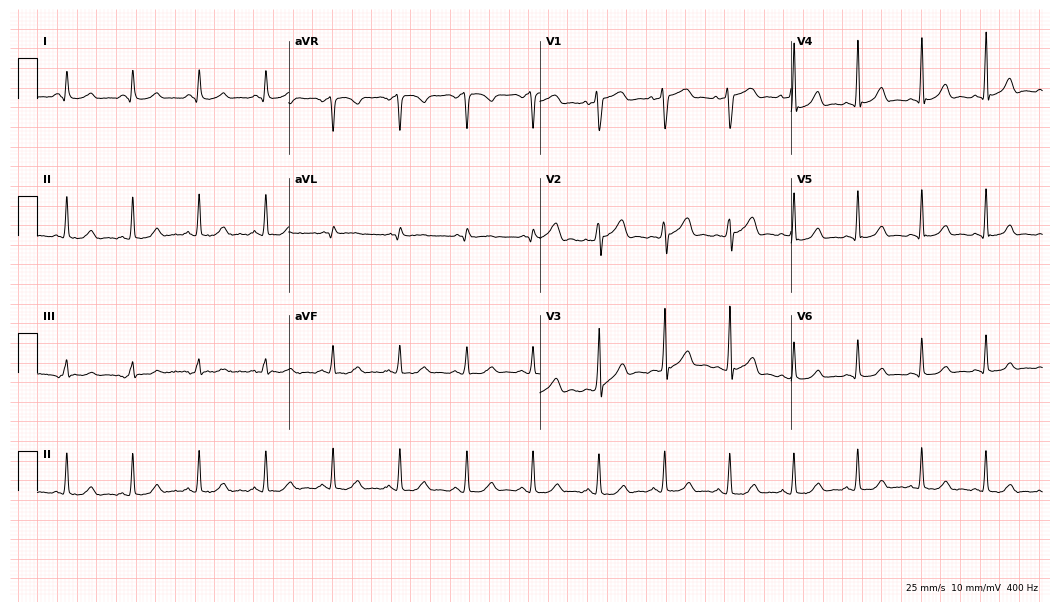
Standard 12-lead ECG recorded from a man, 58 years old (10.2-second recording at 400 Hz). Read as a normal ECG.